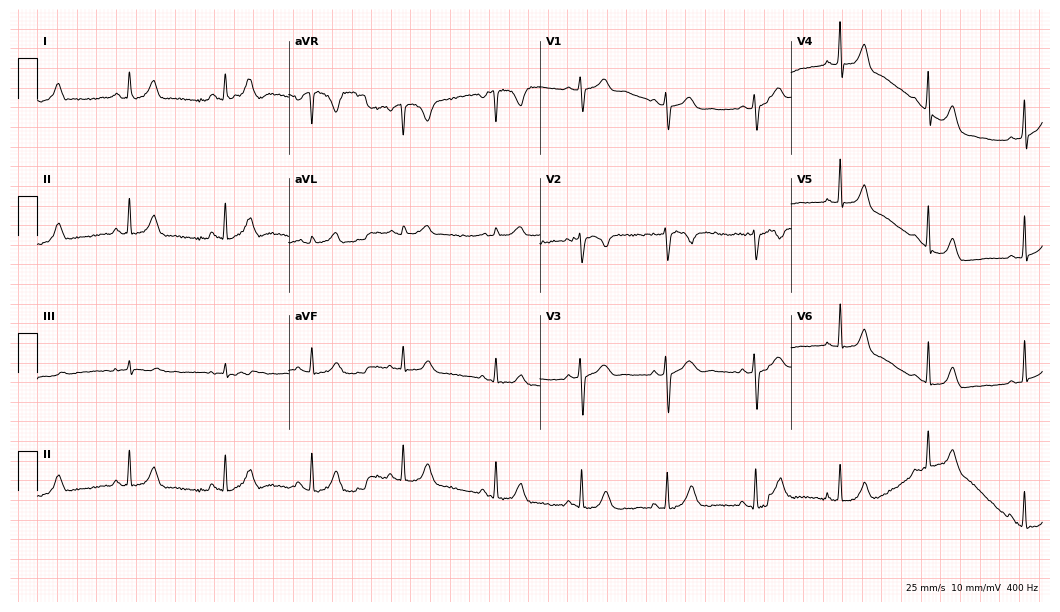
ECG (10.2-second recording at 400 Hz) — a 20-year-old woman. Labelled as a normal ECG.